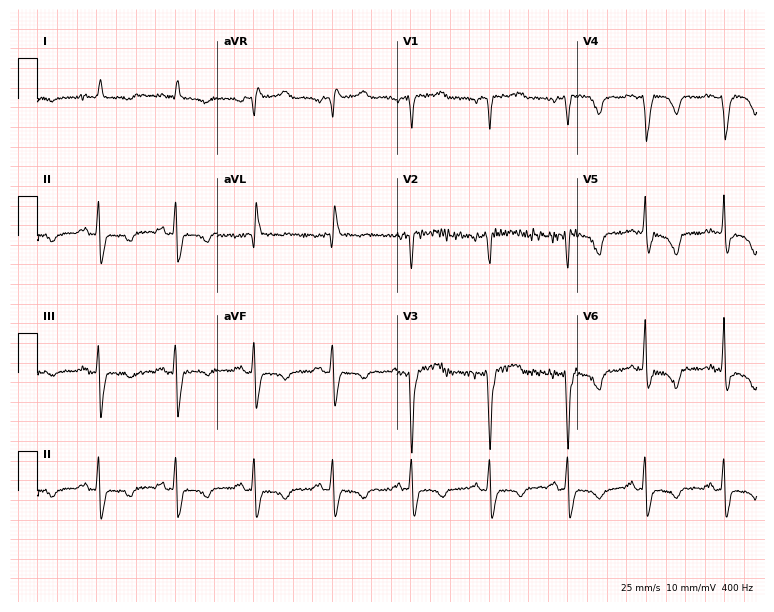
12-lead ECG from an 80-year-old male patient (7.3-second recording at 400 Hz). No first-degree AV block, right bundle branch block (RBBB), left bundle branch block (LBBB), sinus bradycardia, atrial fibrillation (AF) or sinus tachycardia recorded for this tracing. Only these six findings were labelled.